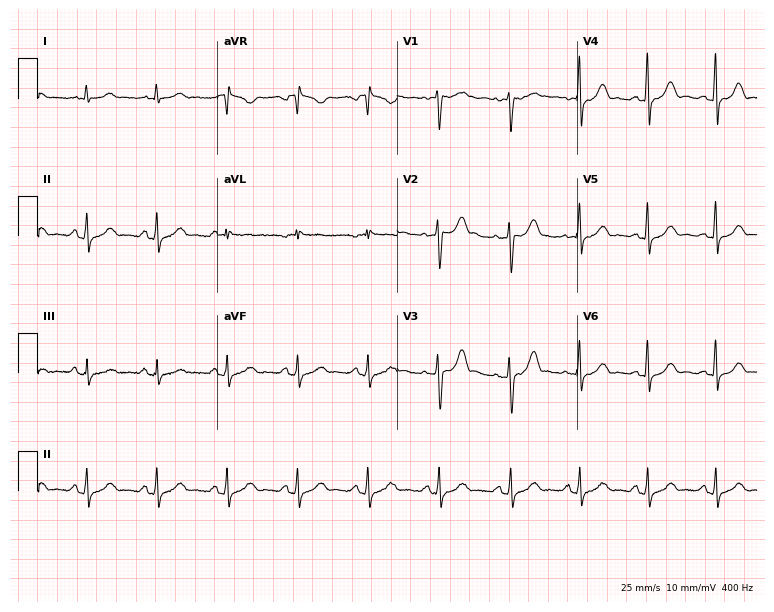
Electrocardiogram, a female, 50 years old. Of the six screened findings (first-degree AV block, right bundle branch block (RBBB), left bundle branch block (LBBB), sinus bradycardia, atrial fibrillation (AF), sinus tachycardia), none is recorded.